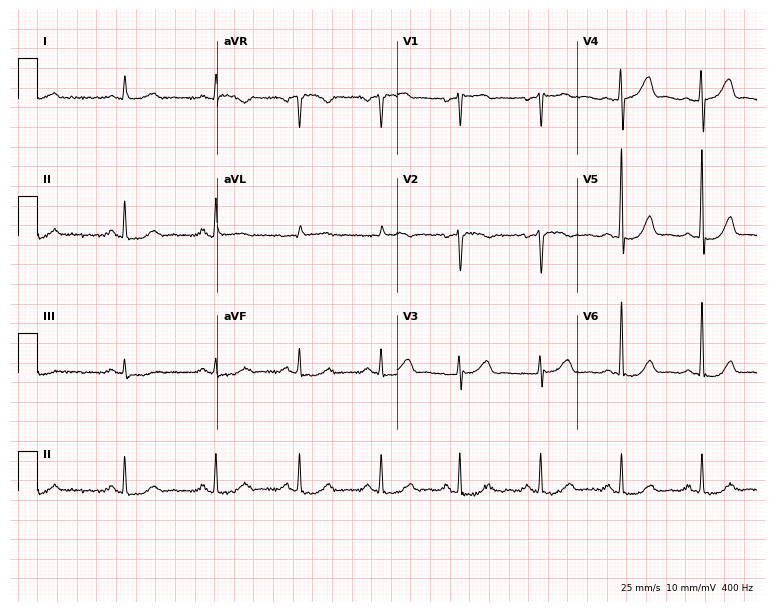
Resting 12-lead electrocardiogram. Patient: a female, 49 years old. None of these six findings is recorded: first-degree AV block, right bundle branch block, left bundle branch block, sinus bradycardia, atrial fibrillation, sinus tachycardia.